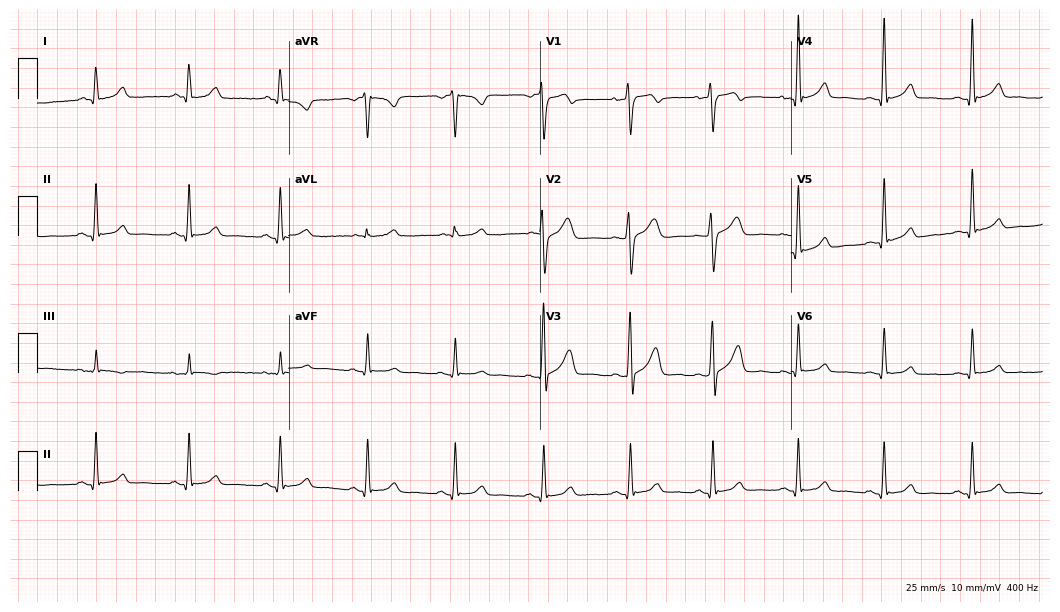
ECG — a 33-year-old male patient. Labelled as a normal ECG.